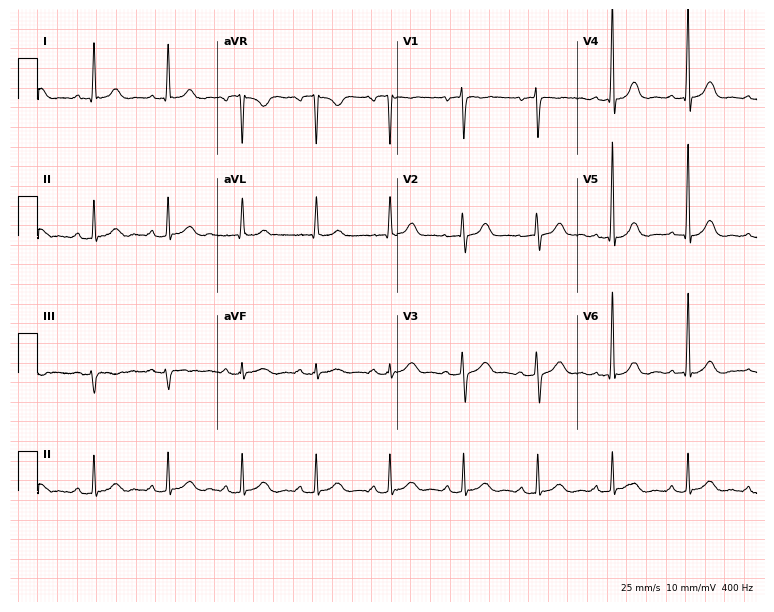
Electrocardiogram (7.3-second recording at 400 Hz), a male, 76 years old. Overall reading on record: normal ECG.